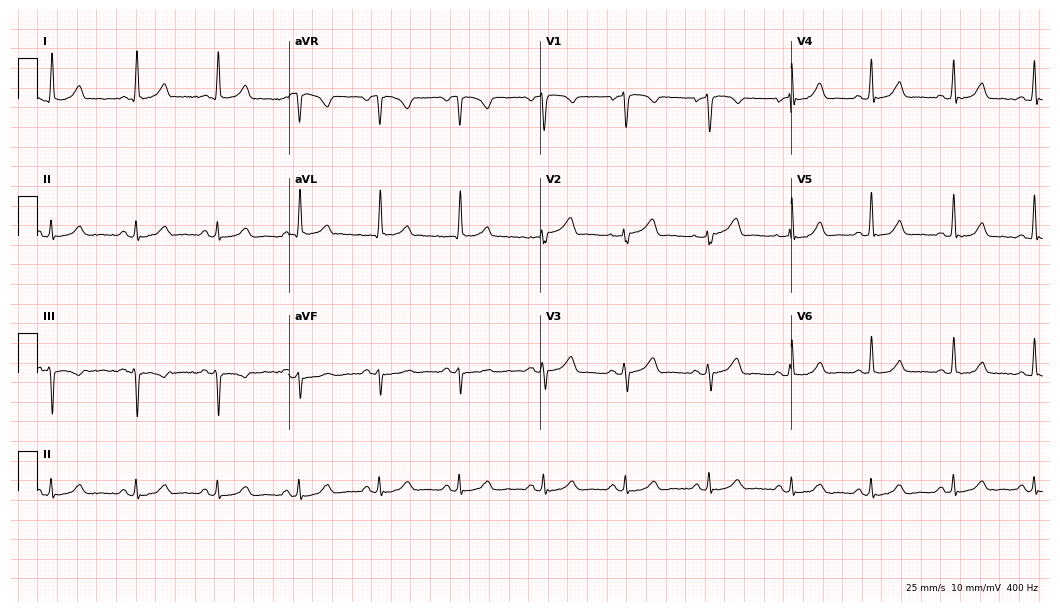
Standard 12-lead ECG recorded from a female, 56 years old (10.2-second recording at 400 Hz). Read as a normal ECG.